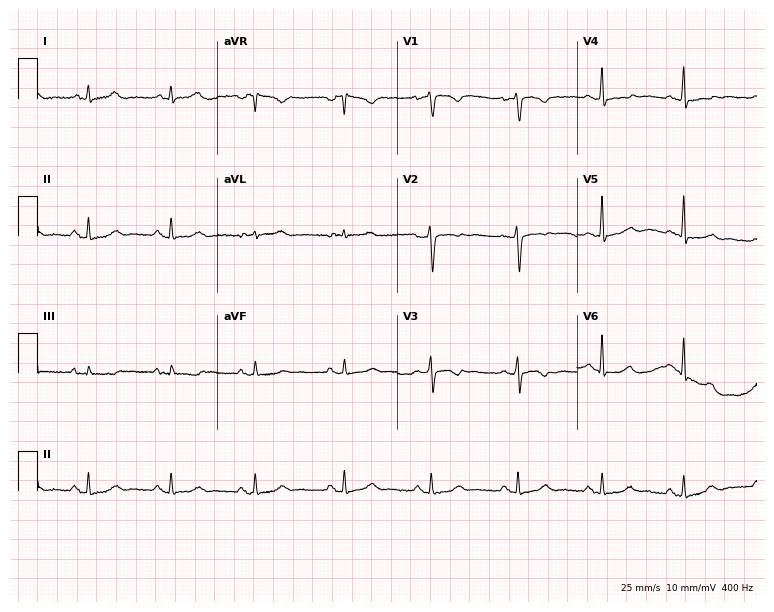
Electrocardiogram, a woman, 27 years old. Of the six screened findings (first-degree AV block, right bundle branch block (RBBB), left bundle branch block (LBBB), sinus bradycardia, atrial fibrillation (AF), sinus tachycardia), none is recorded.